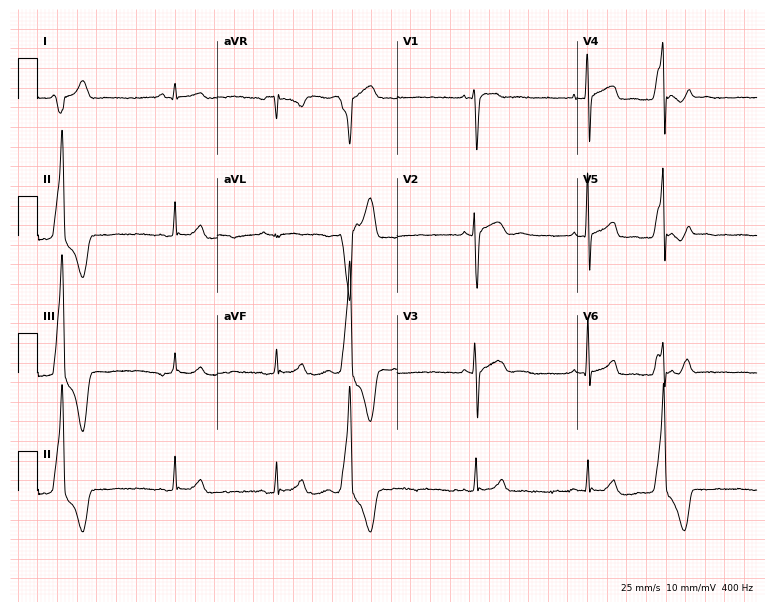
12-lead ECG from a male patient, 17 years old. No first-degree AV block, right bundle branch block, left bundle branch block, sinus bradycardia, atrial fibrillation or sinus tachycardia recorded for this tracing. Only these six findings were labelled.